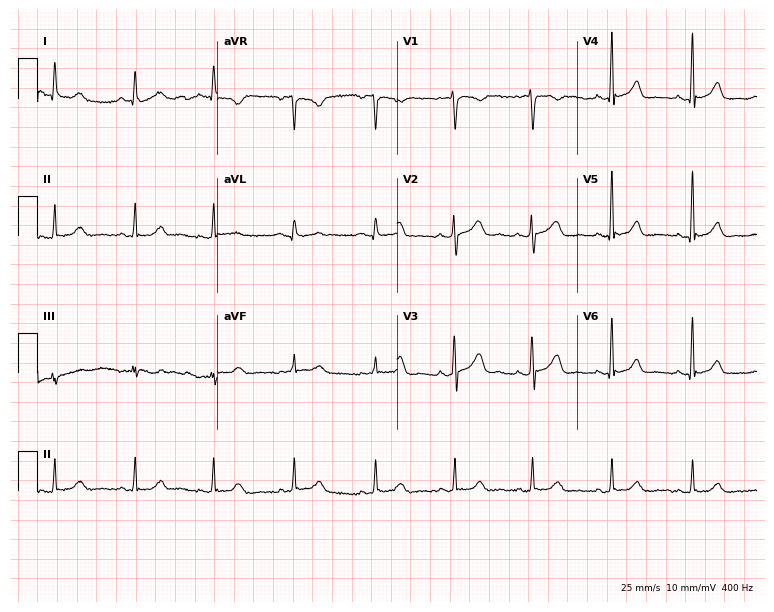
Resting 12-lead electrocardiogram. Patient: a 38-year-old woman. Read as a normal ECG.